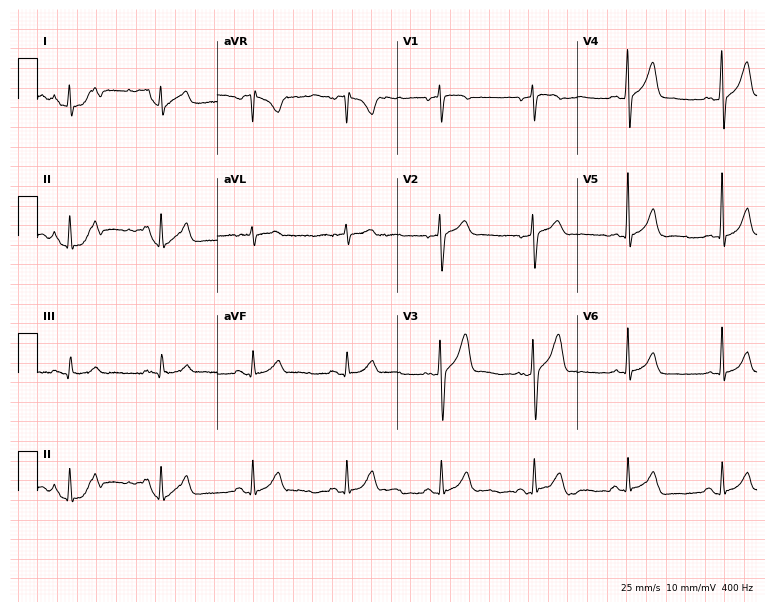
12-lead ECG from a male patient, 36 years old (7.3-second recording at 400 Hz). Recorded interpretation: within normal limits.